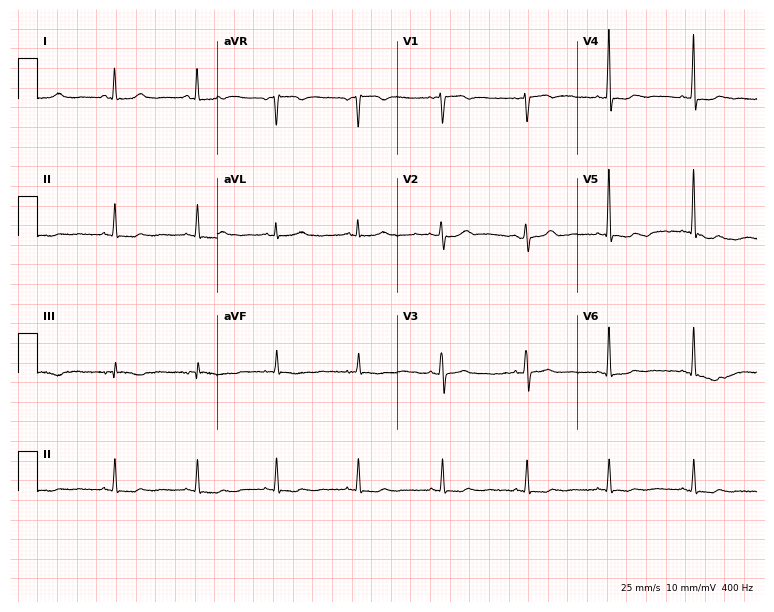
ECG — a 42-year-old female. Screened for six findings — first-degree AV block, right bundle branch block (RBBB), left bundle branch block (LBBB), sinus bradycardia, atrial fibrillation (AF), sinus tachycardia — none is recorded.